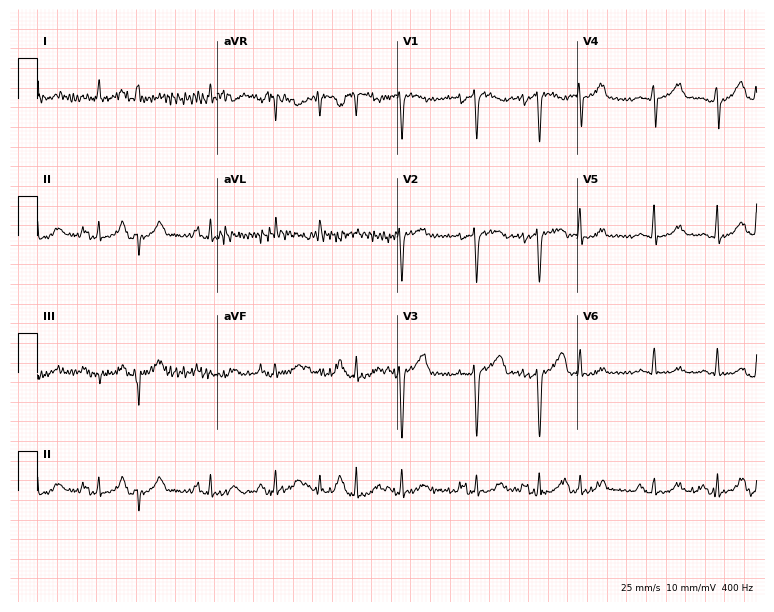
Standard 12-lead ECG recorded from a 76-year-old male (7.3-second recording at 400 Hz). None of these six findings is recorded: first-degree AV block, right bundle branch block, left bundle branch block, sinus bradycardia, atrial fibrillation, sinus tachycardia. Other findings, if any, are not listed.